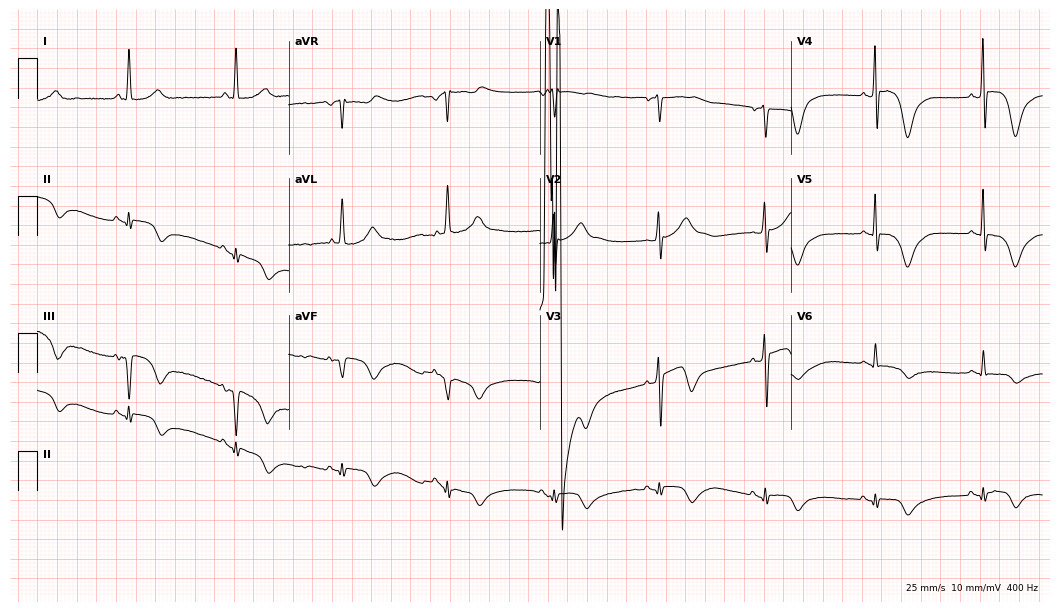
ECG — a man, 75 years old. Screened for six findings — first-degree AV block, right bundle branch block, left bundle branch block, sinus bradycardia, atrial fibrillation, sinus tachycardia — none is recorded. Other findings, if any, are not listed.